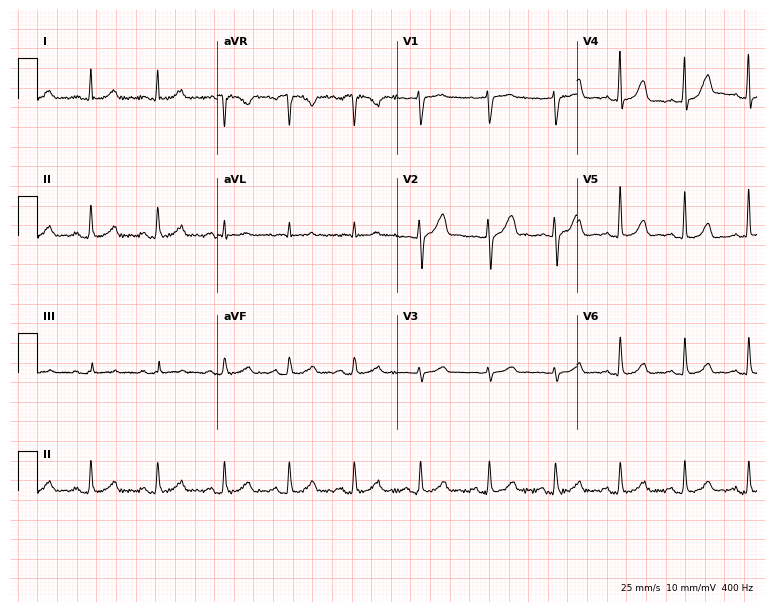
Standard 12-lead ECG recorded from a female patient, 41 years old. Read as a normal ECG.